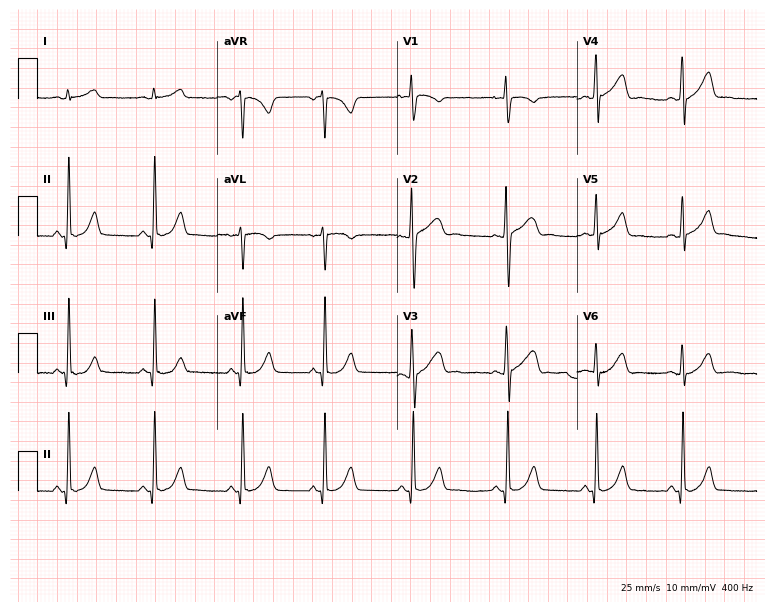
ECG — a 19-year-old female patient. Labelled as a normal ECG.